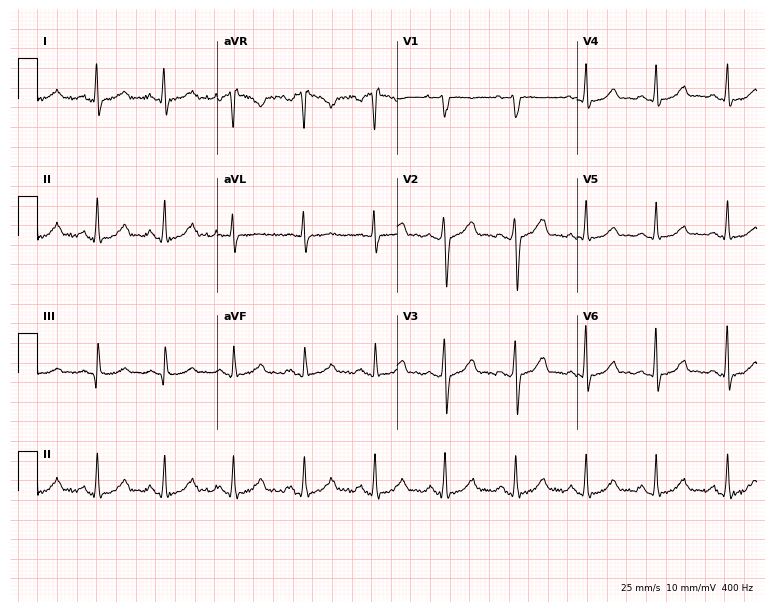
12-lead ECG (7.3-second recording at 400 Hz) from a woman, 29 years old. Labelled as a normal ECG.